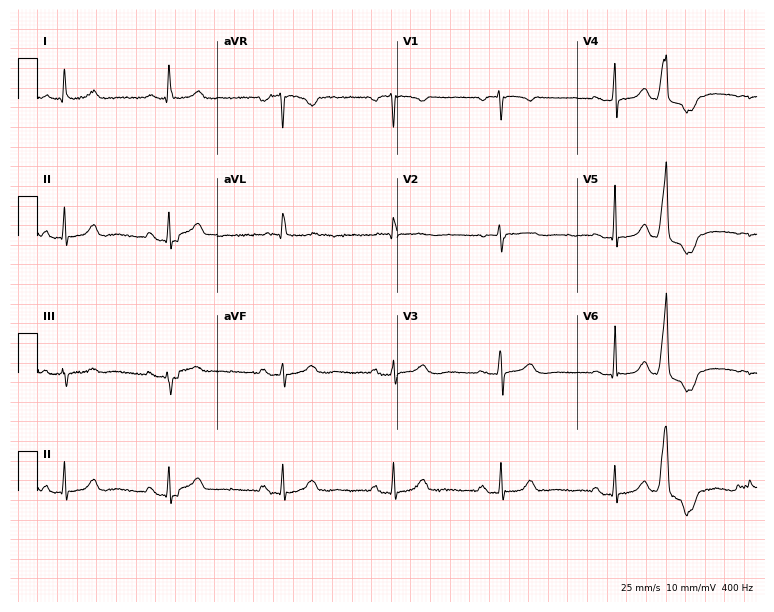
12-lead ECG from a female patient, 67 years old. No first-degree AV block, right bundle branch block (RBBB), left bundle branch block (LBBB), sinus bradycardia, atrial fibrillation (AF) or sinus tachycardia recorded for this tracing.